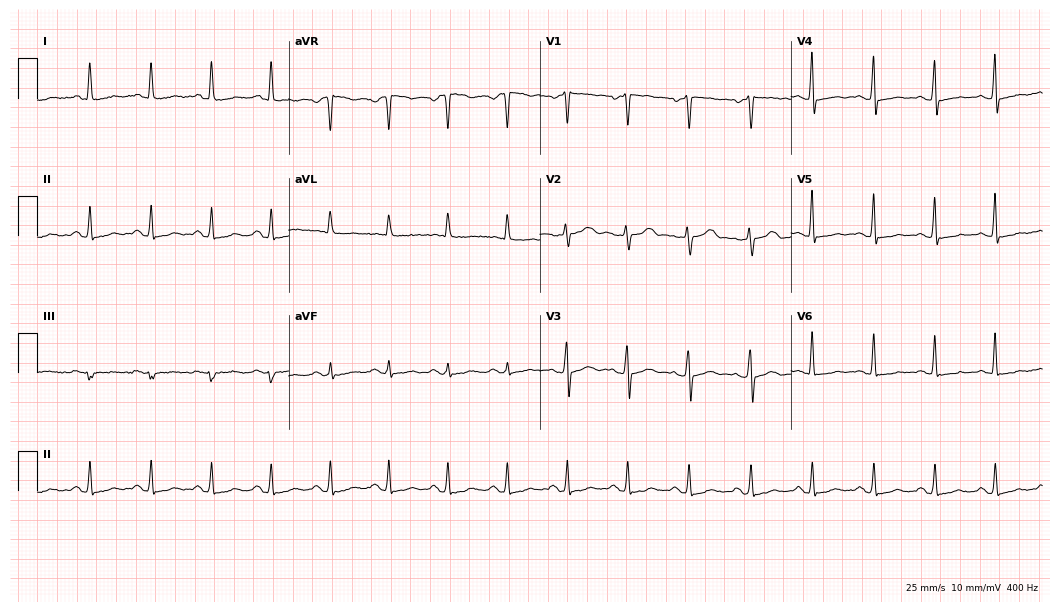
ECG — a female patient, 35 years old. Screened for six findings — first-degree AV block, right bundle branch block (RBBB), left bundle branch block (LBBB), sinus bradycardia, atrial fibrillation (AF), sinus tachycardia — none is recorded.